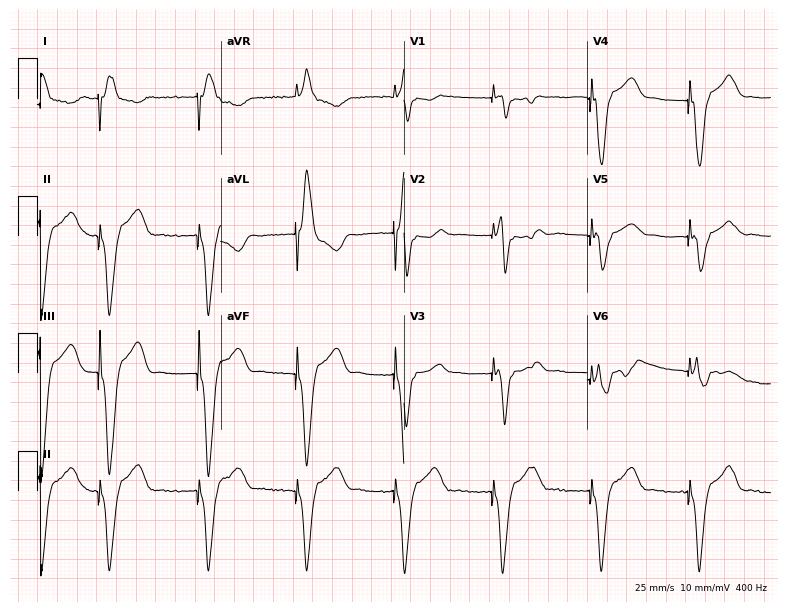
12-lead ECG (7.5-second recording at 400 Hz) from a 73-year-old female. Screened for six findings — first-degree AV block, right bundle branch block, left bundle branch block, sinus bradycardia, atrial fibrillation, sinus tachycardia — none is recorded. Findings outside these six are not listed.